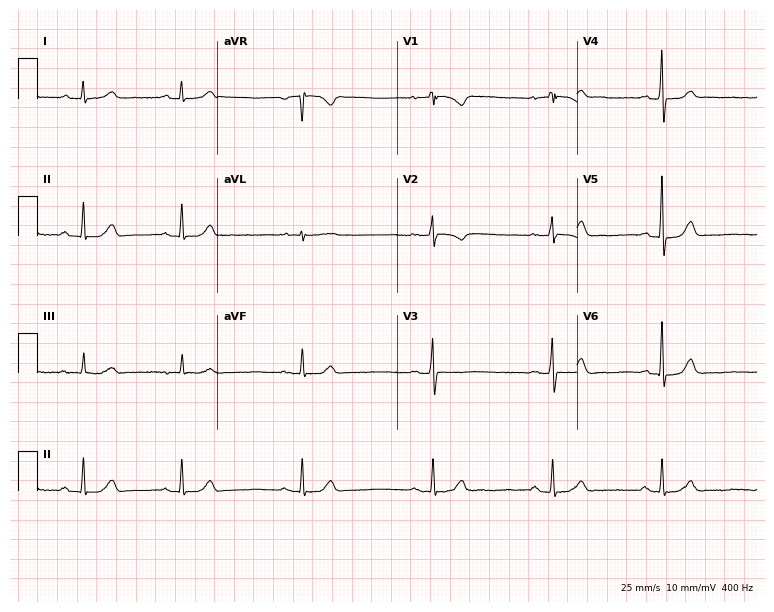
ECG (7.3-second recording at 400 Hz) — a woman, 50 years old. Labelled as a normal ECG.